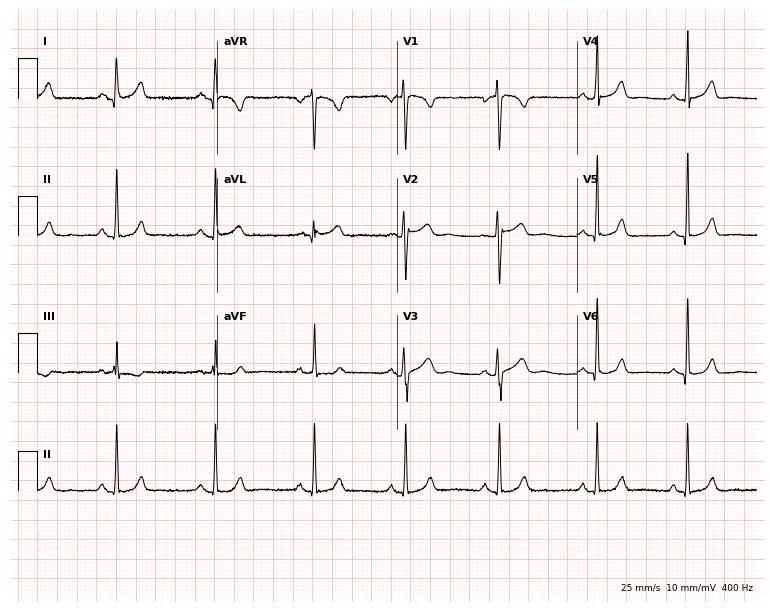
12-lead ECG from a woman, 27 years old (7.3-second recording at 400 Hz). Recorded interpretation: within normal limits.